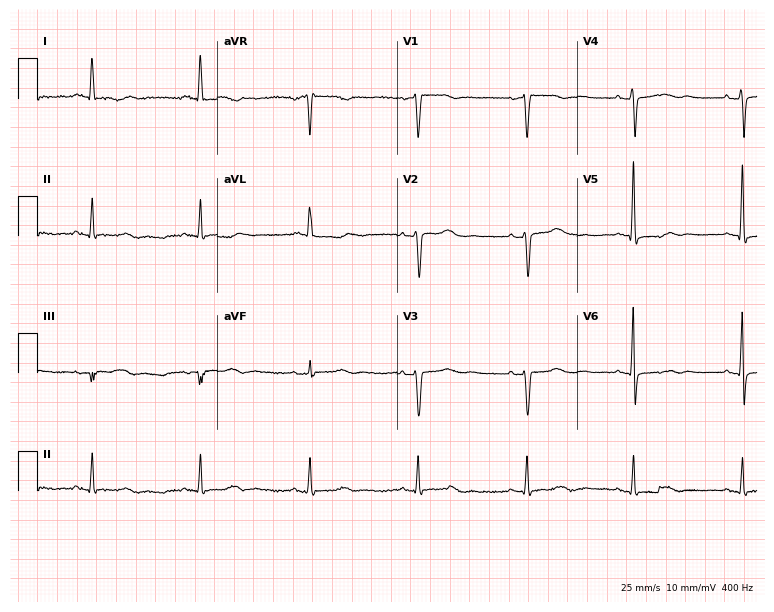
Electrocardiogram, a 55-year-old woman. Of the six screened findings (first-degree AV block, right bundle branch block (RBBB), left bundle branch block (LBBB), sinus bradycardia, atrial fibrillation (AF), sinus tachycardia), none is recorded. Only these six findings were labelled.